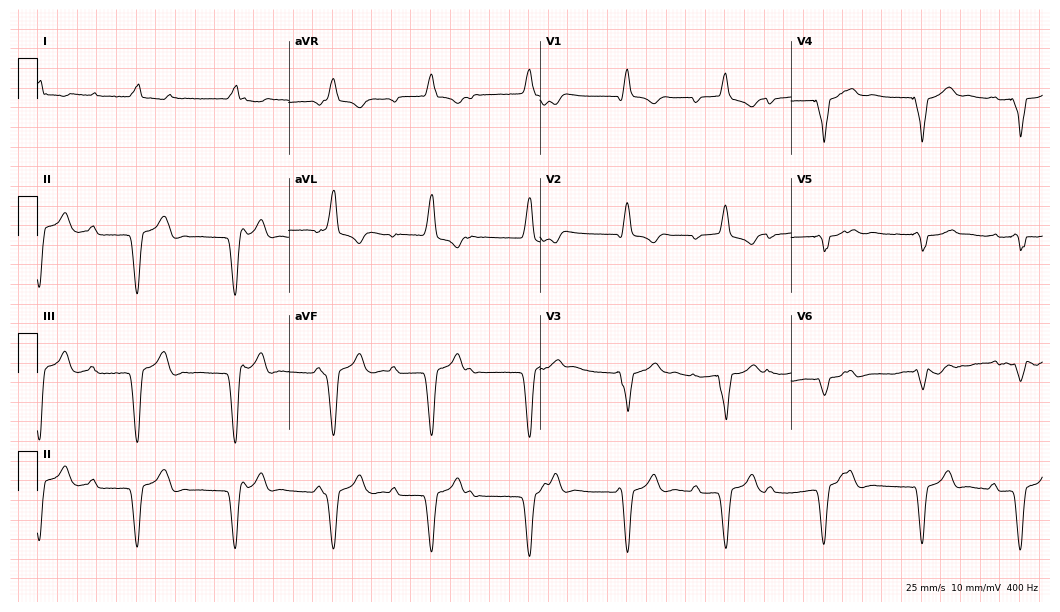
Electrocardiogram, a male, 82 years old. Of the six screened findings (first-degree AV block, right bundle branch block, left bundle branch block, sinus bradycardia, atrial fibrillation, sinus tachycardia), none is recorded. Findings outside these six are not listed.